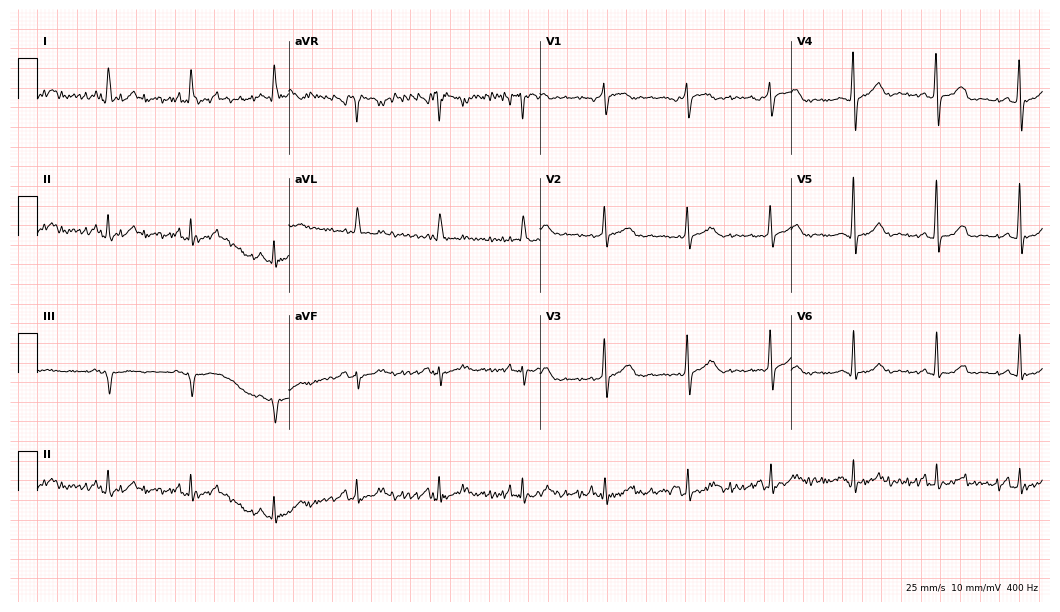
12-lead ECG from an 80-year-old female. Labelled as a normal ECG.